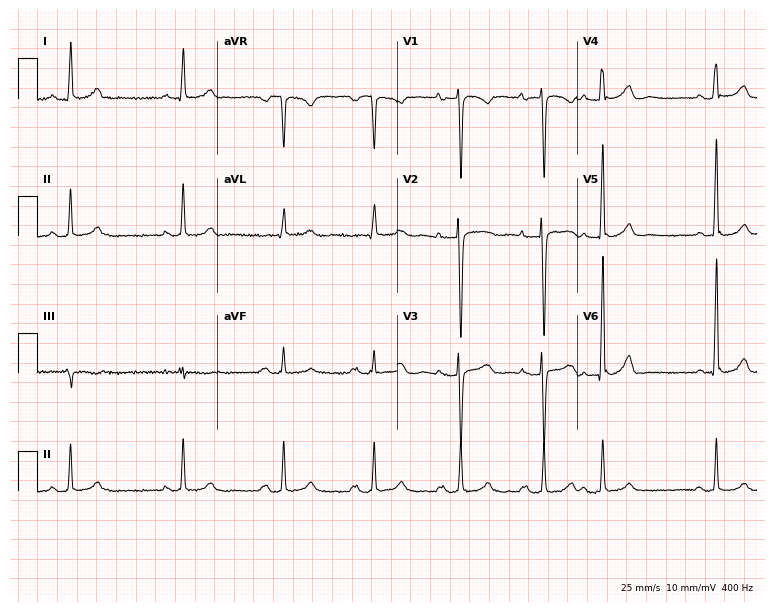
ECG — a woman, 46 years old. Screened for six findings — first-degree AV block, right bundle branch block, left bundle branch block, sinus bradycardia, atrial fibrillation, sinus tachycardia — none is recorded. Only these six findings were labelled.